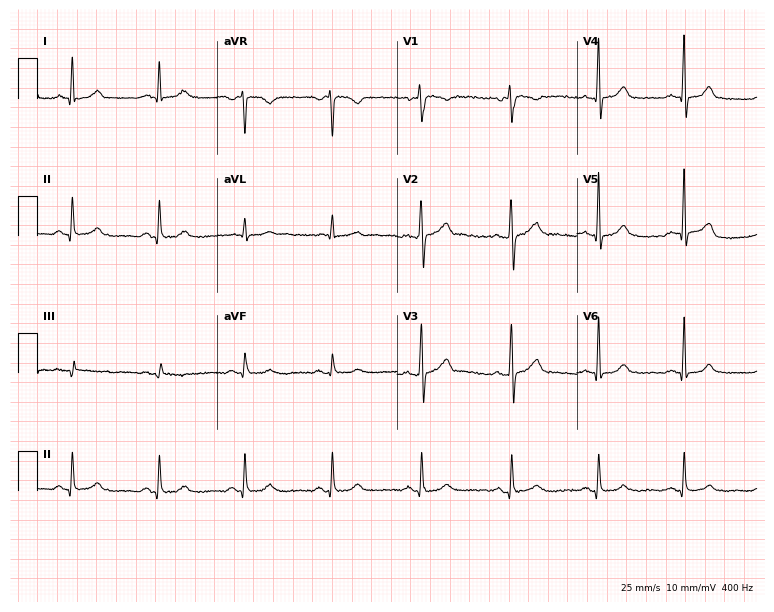
12-lead ECG from a male, 50 years old (7.3-second recording at 400 Hz). No first-degree AV block, right bundle branch block, left bundle branch block, sinus bradycardia, atrial fibrillation or sinus tachycardia recorded for this tracing. Findings outside these six are not listed.